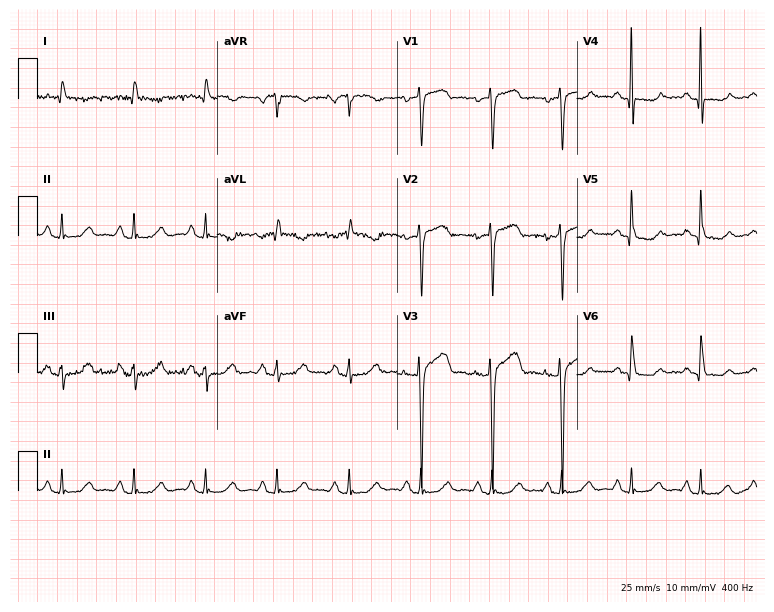
12-lead ECG from a male patient, 63 years old. Screened for six findings — first-degree AV block, right bundle branch block, left bundle branch block, sinus bradycardia, atrial fibrillation, sinus tachycardia — none is recorded.